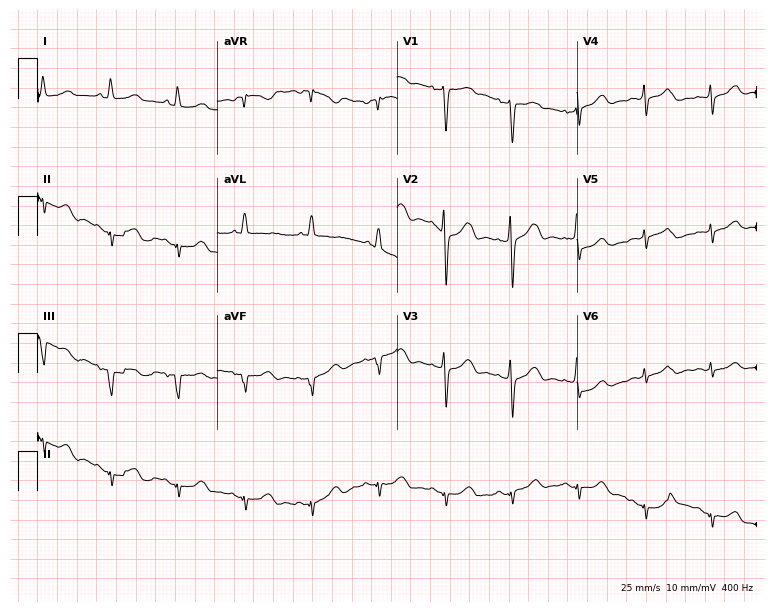
Resting 12-lead electrocardiogram (7.3-second recording at 400 Hz). Patient: a 72-year-old woman. None of these six findings is recorded: first-degree AV block, right bundle branch block, left bundle branch block, sinus bradycardia, atrial fibrillation, sinus tachycardia. Only these six findings were labelled.